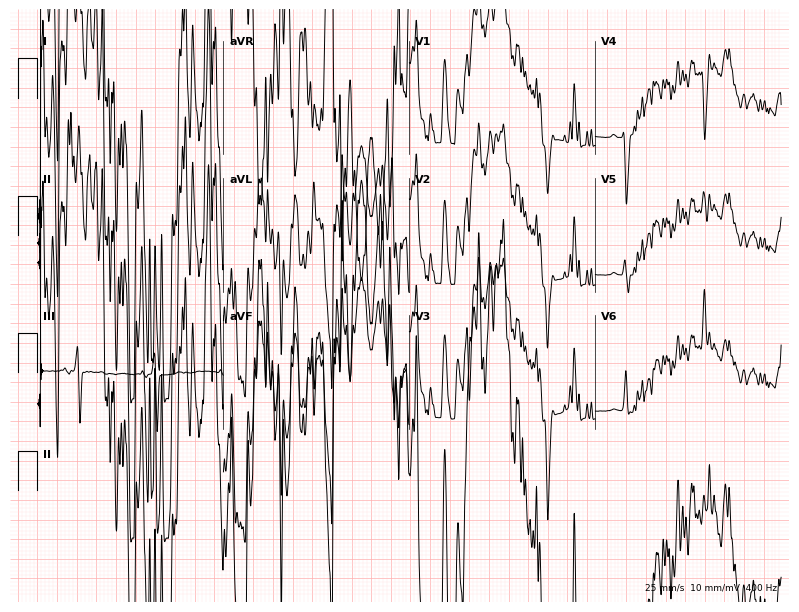
12-lead ECG from an 81-year-old female. Screened for six findings — first-degree AV block, right bundle branch block, left bundle branch block, sinus bradycardia, atrial fibrillation, sinus tachycardia — none is recorded.